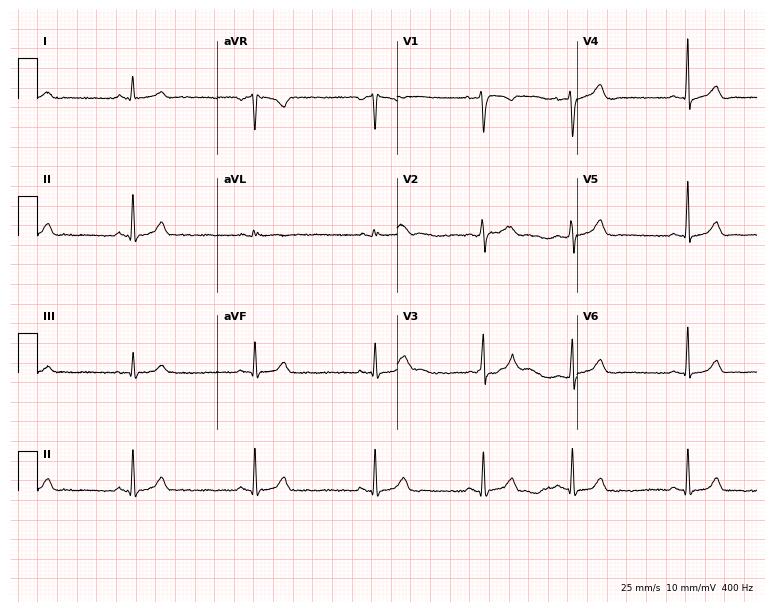
12-lead ECG (7.3-second recording at 400 Hz) from a 29-year-old female. Screened for six findings — first-degree AV block, right bundle branch block, left bundle branch block, sinus bradycardia, atrial fibrillation, sinus tachycardia — none is recorded. Findings outside these six are not listed.